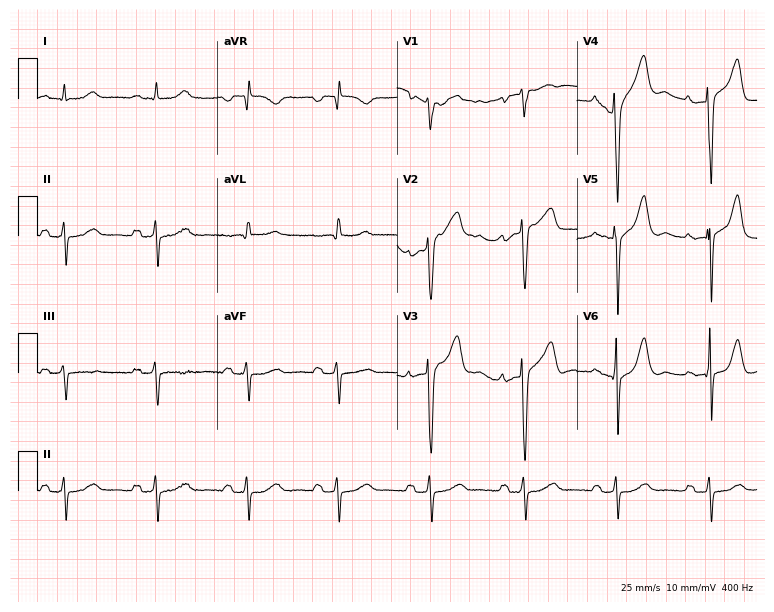
Electrocardiogram (7.3-second recording at 400 Hz), a 69-year-old male. Of the six screened findings (first-degree AV block, right bundle branch block, left bundle branch block, sinus bradycardia, atrial fibrillation, sinus tachycardia), none is recorded. Other findings, if any, are not listed.